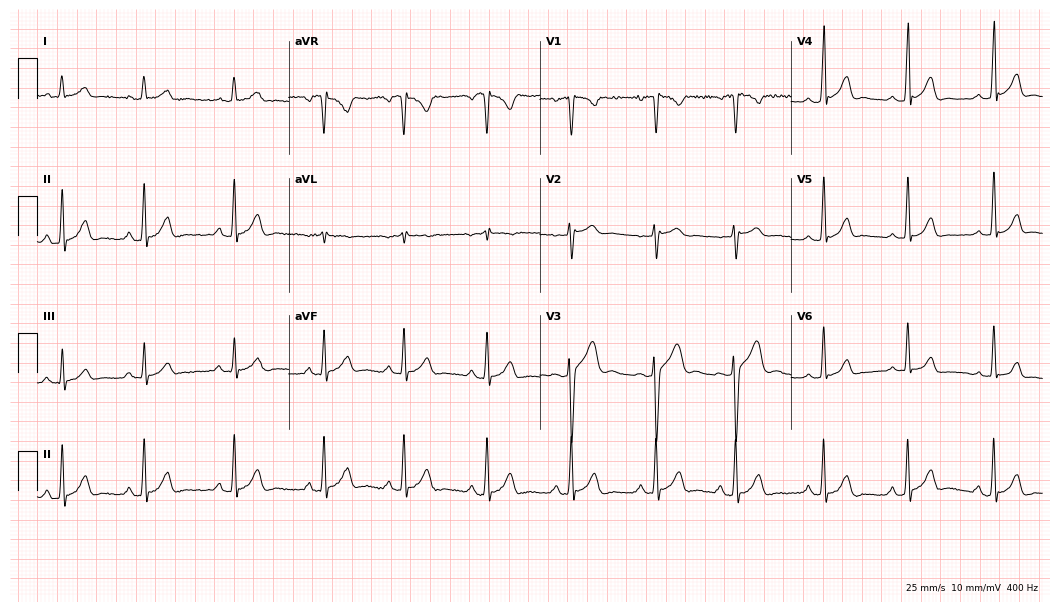
Electrocardiogram, a woman, 20 years old. Overall reading on record: normal ECG.